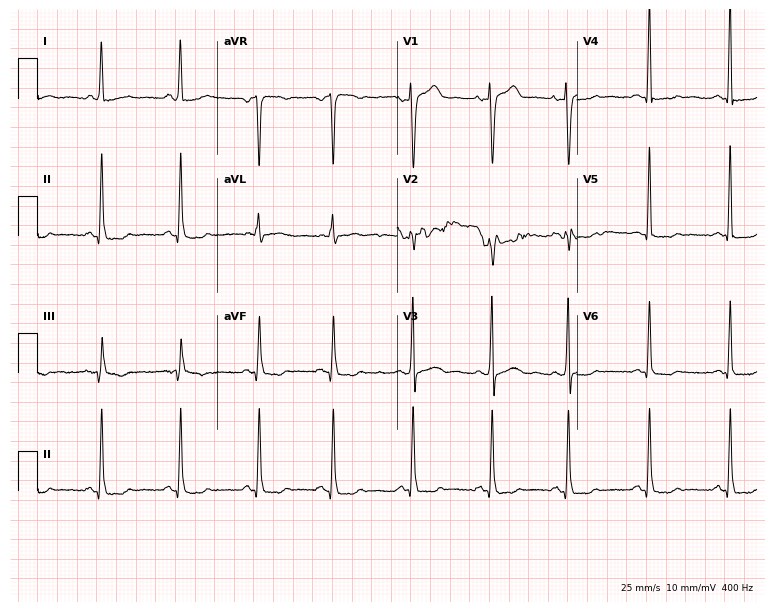
Electrocardiogram (7.3-second recording at 400 Hz), a 54-year-old woman. Of the six screened findings (first-degree AV block, right bundle branch block (RBBB), left bundle branch block (LBBB), sinus bradycardia, atrial fibrillation (AF), sinus tachycardia), none is recorded. Other findings, if any, are not listed.